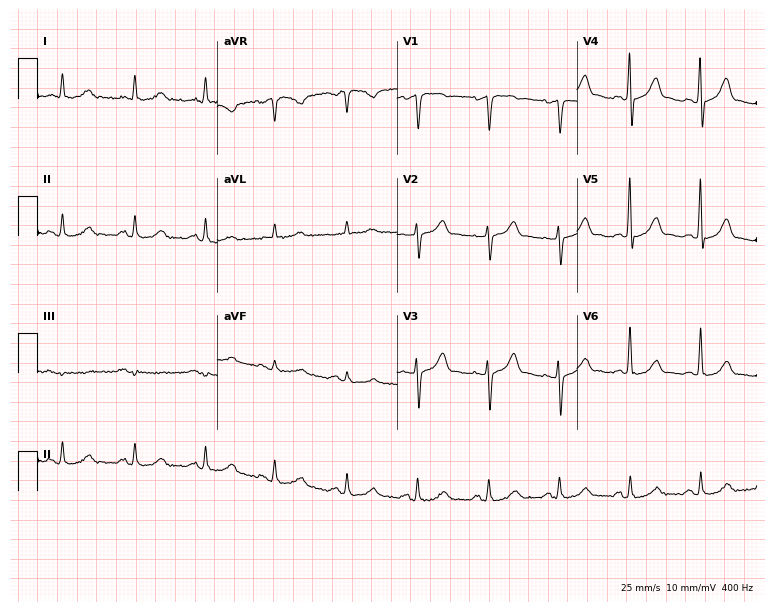
12-lead ECG (7.3-second recording at 400 Hz) from a man, 78 years old. Screened for six findings — first-degree AV block, right bundle branch block, left bundle branch block, sinus bradycardia, atrial fibrillation, sinus tachycardia — none is recorded.